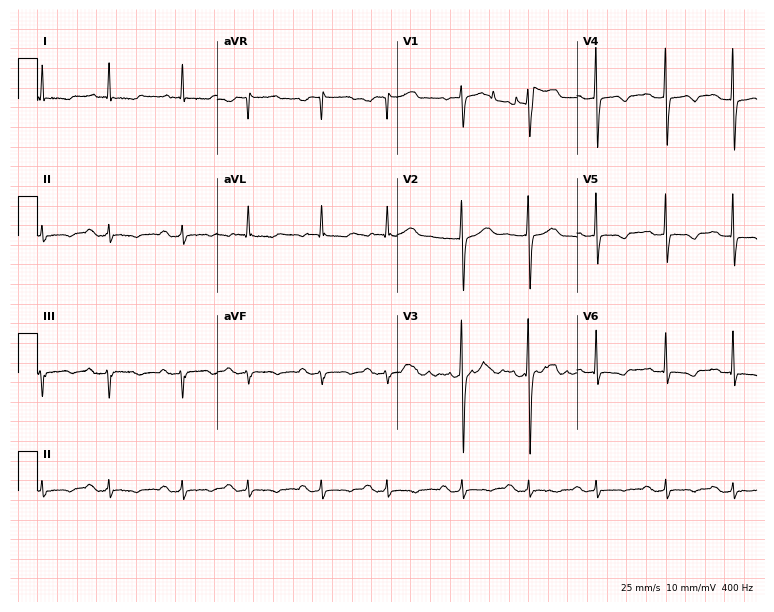
Resting 12-lead electrocardiogram. Patient: a female, 83 years old. None of these six findings is recorded: first-degree AV block, right bundle branch block, left bundle branch block, sinus bradycardia, atrial fibrillation, sinus tachycardia.